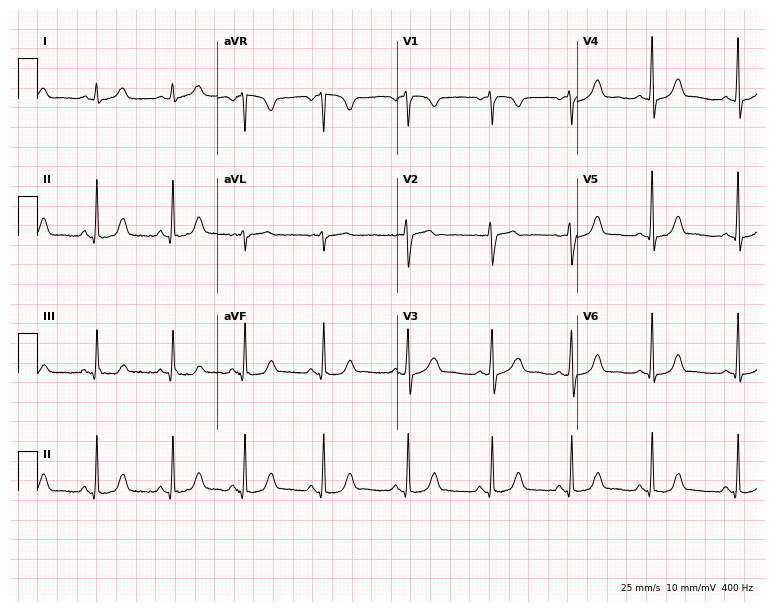
Resting 12-lead electrocardiogram (7.3-second recording at 400 Hz). Patient: a woman, 17 years old. Read as a normal ECG.